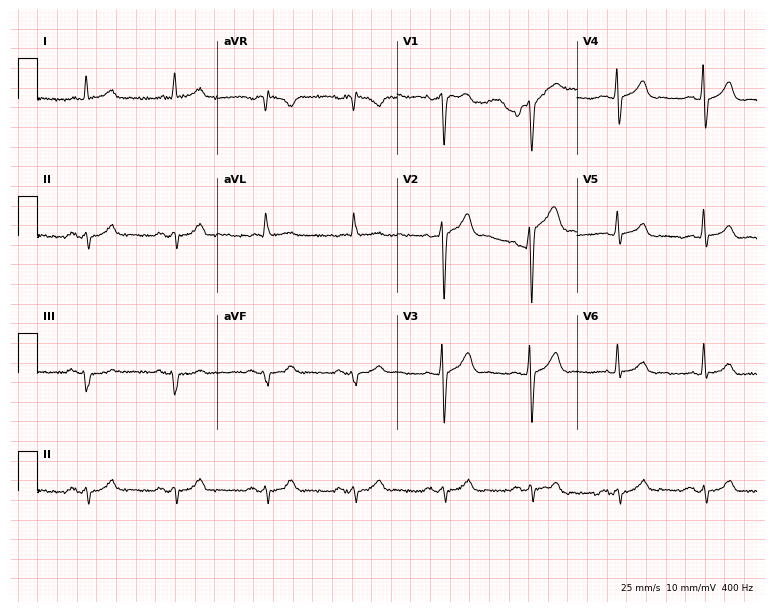
Electrocardiogram, a man, 70 years old. Of the six screened findings (first-degree AV block, right bundle branch block, left bundle branch block, sinus bradycardia, atrial fibrillation, sinus tachycardia), none is recorded.